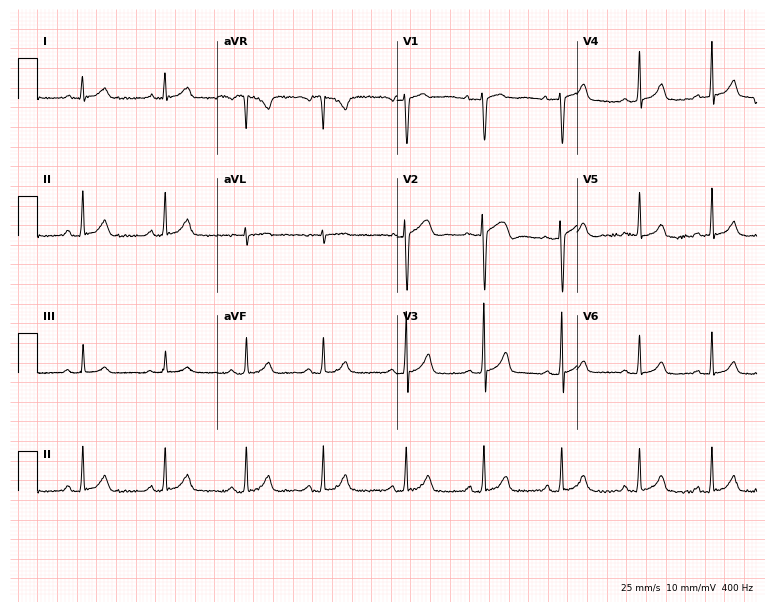
Electrocardiogram, a woman, 25 years old. Overall reading on record: normal ECG.